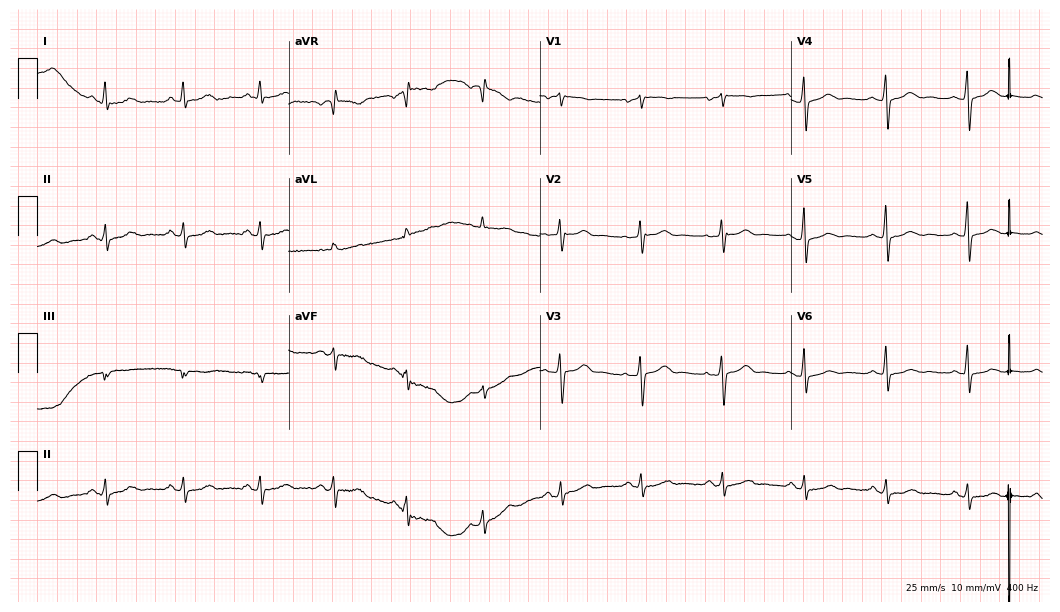
Standard 12-lead ECG recorded from a female patient, 47 years old (10.2-second recording at 400 Hz). None of these six findings is recorded: first-degree AV block, right bundle branch block, left bundle branch block, sinus bradycardia, atrial fibrillation, sinus tachycardia.